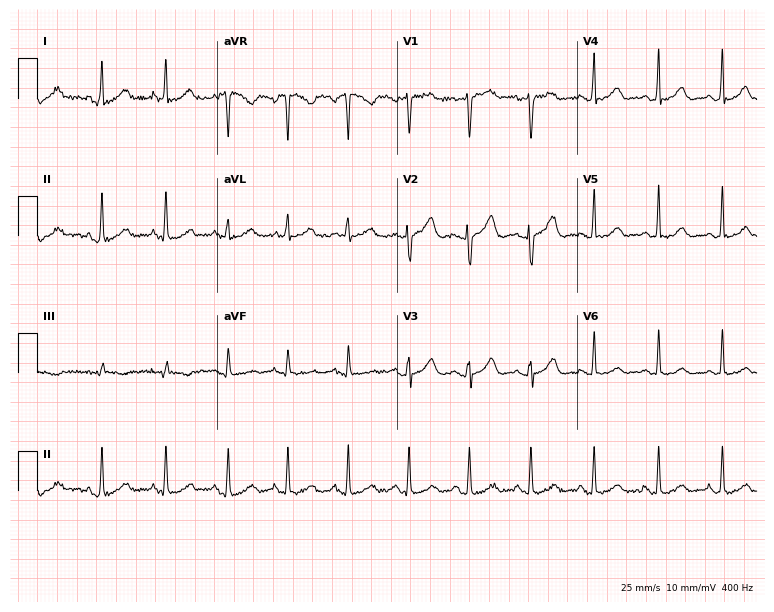
Electrocardiogram, a 37-year-old woman. Overall reading on record: normal ECG.